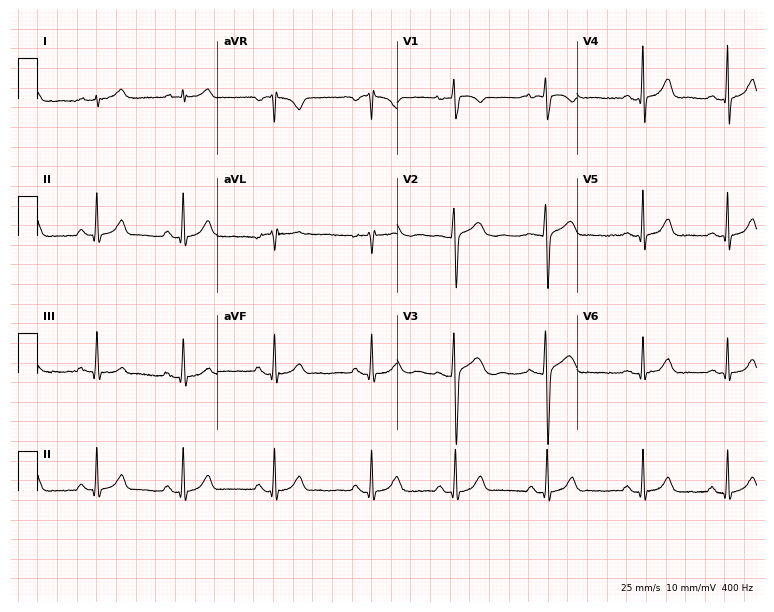
12-lead ECG (7.3-second recording at 400 Hz) from a woman, 19 years old. Labelled as a normal ECG.